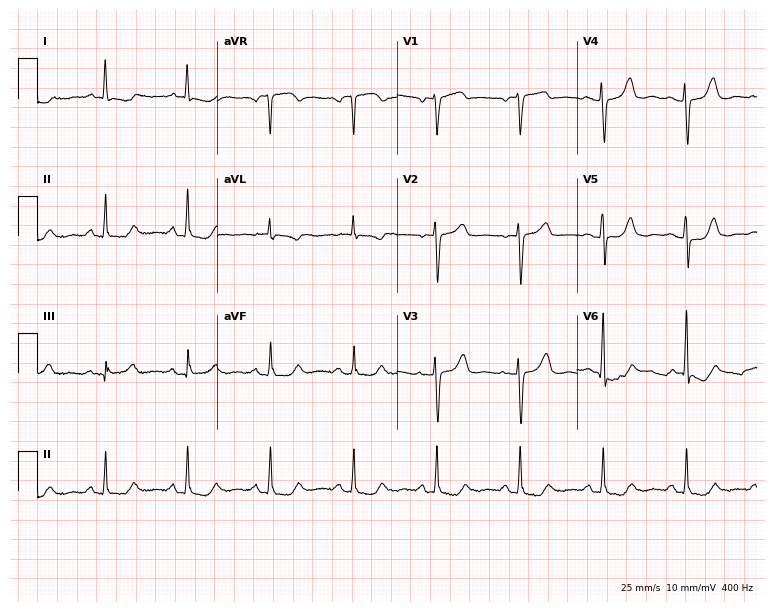
Resting 12-lead electrocardiogram. Patient: a woman, 73 years old. None of these six findings is recorded: first-degree AV block, right bundle branch block, left bundle branch block, sinus bradycardia, atrial fibrillation, sinus tachycardia.